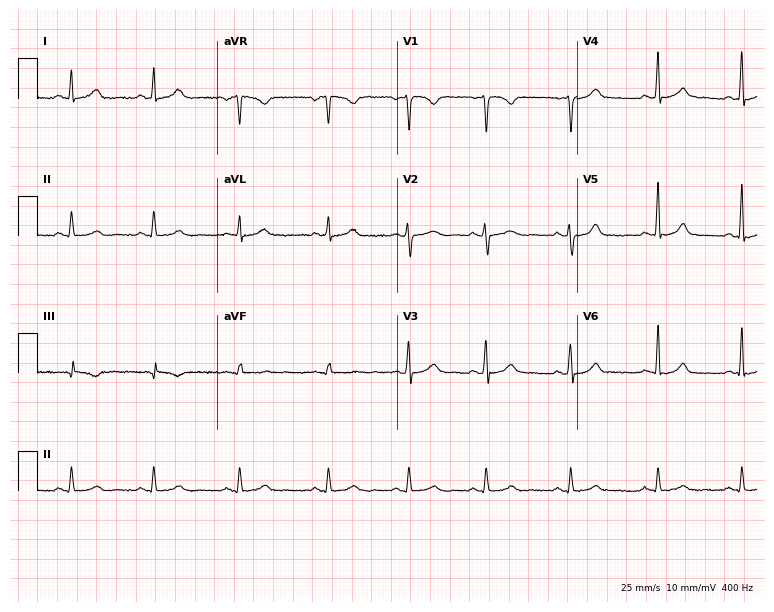
12-lead ECG from a female patient, 32 years old. Labelled as a normal ECG.